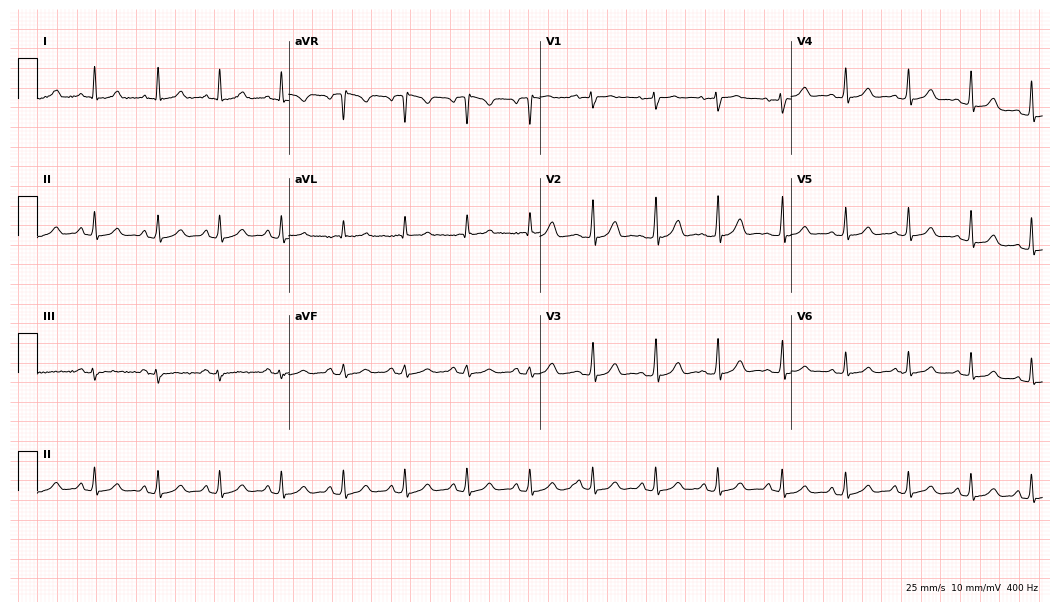
Electrocardiogram (10.2-second recording at 400 Hz), a 38-year-old woman. Overall reading on record: normal ECG.